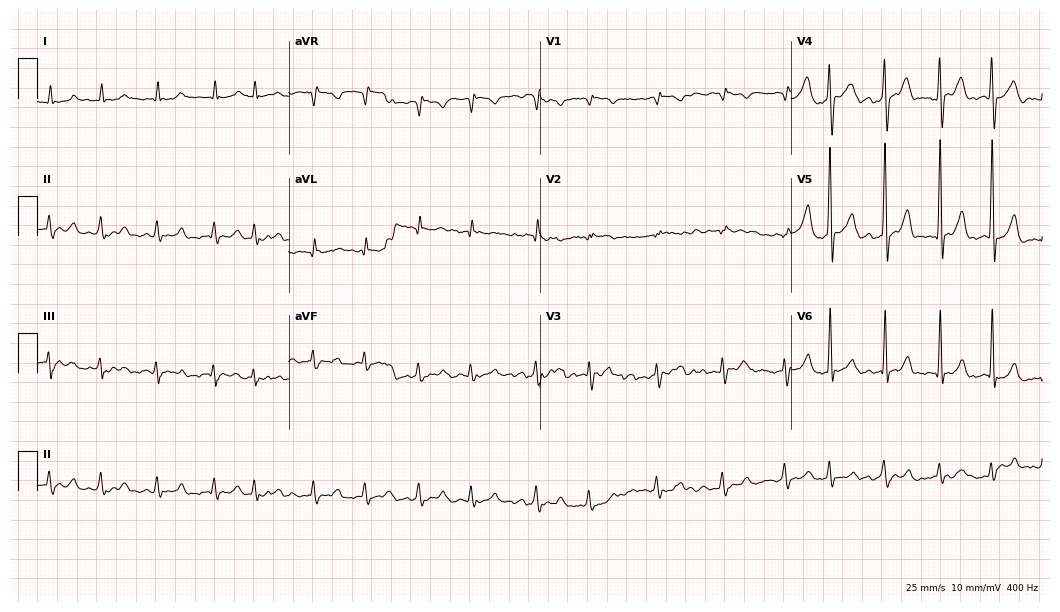
12-lead ECG (10.2-second recording at 400 Hz) from a man, 72 years old. Findings include atrial fibrillation (AF).